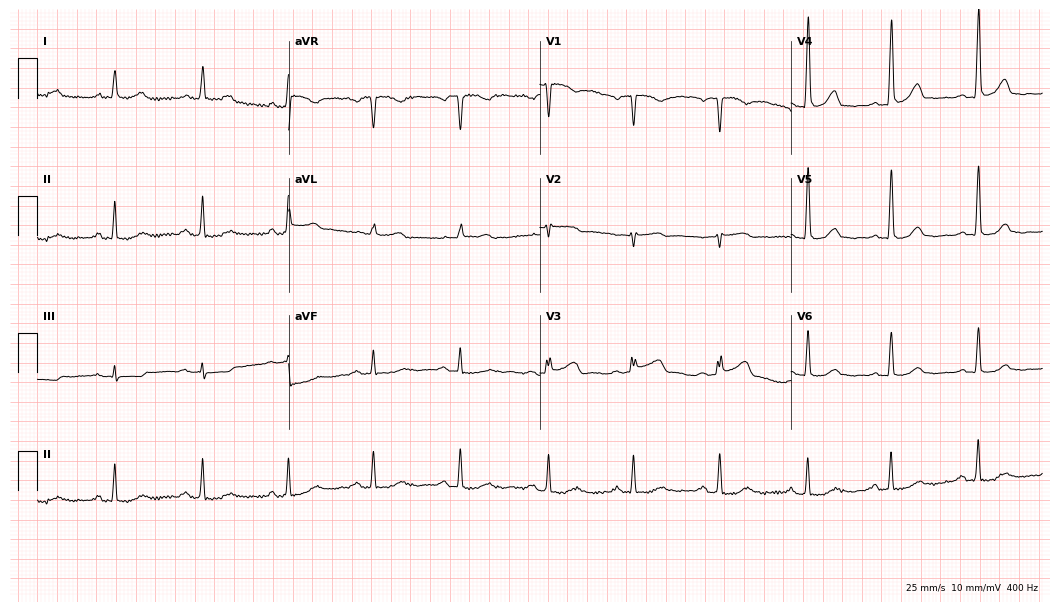
Standard 12-lead ECG recorded from a female patient, 76 years old. None of these six findings is recorded: first-degree AV block, right bundle branch block (RBBB), left bundle branch block (LBBB), sinus bradycardia, atrial fibrillation (AF), sinus tachycardia.